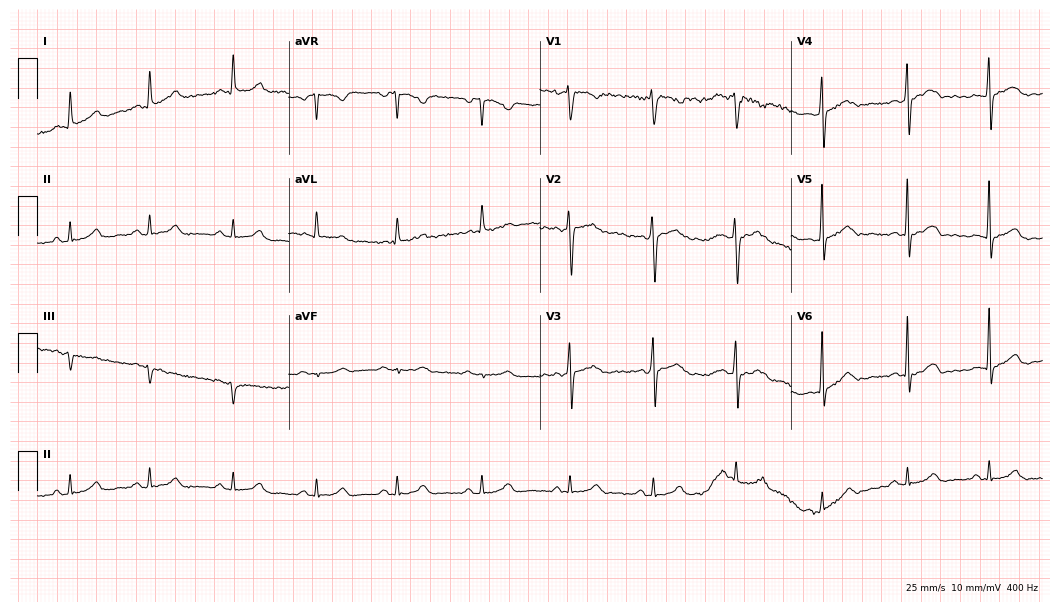
12-lead ECG from a 32-year-old female patient (10.2-second recording at 400 Hz). No first-degree AV block, right bundle branch block (RBBB), left bundle branch block (LBBB), sinus bradycardia, atrial fibrillation (AF) or sinus tachycardia recorded for this tracing.